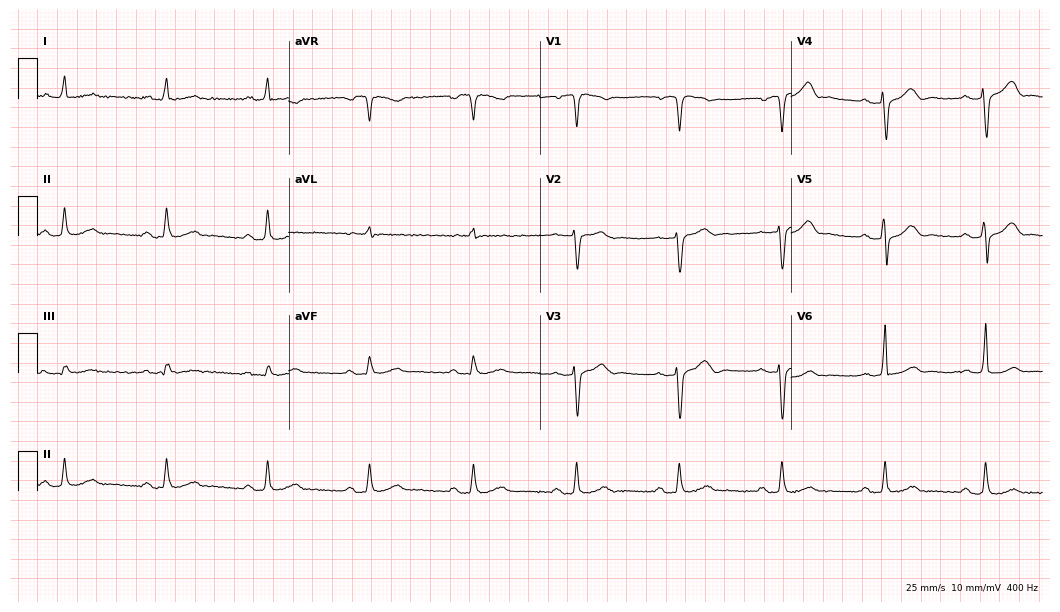
Resting 12-lead electrocardiogram. Patient: a male, 66 years old. None of these six findings is recorded: first-degree AV block, right bundle branch block, left bundle branch block, sinus bradycardia, atrial fibrillation, sinus tachycardia. Findings outside these six are not listed.